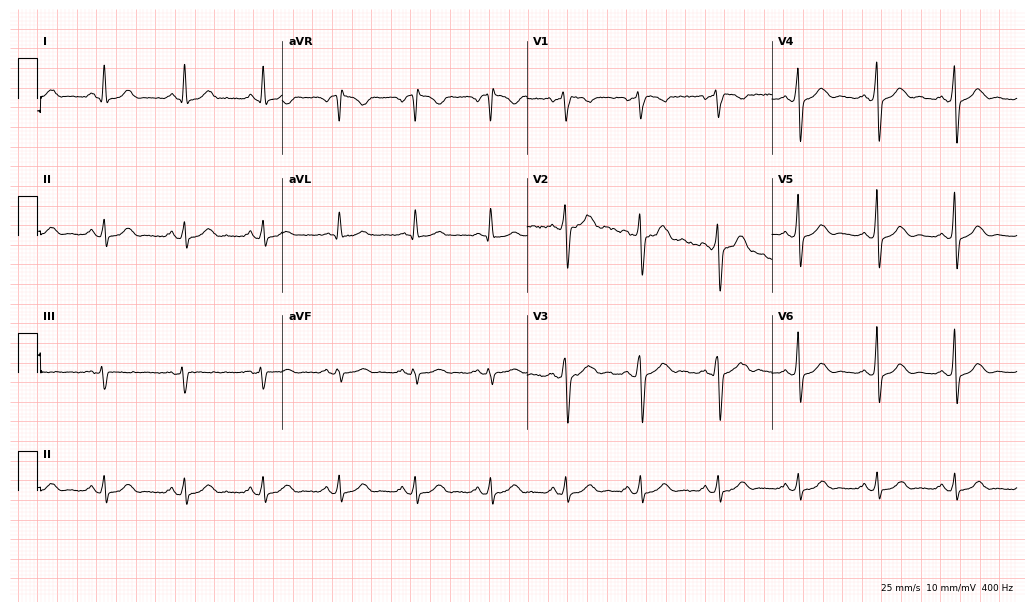
Electrocardiogram, a 58-year-old male. Of the six screened findings (first-degree AV block, right bundle branch block (RBBB), left bundle branch block (LBBB), sinus bradycardia, atrial fibrillation (AF), sinus tachycardia), none is recorded.